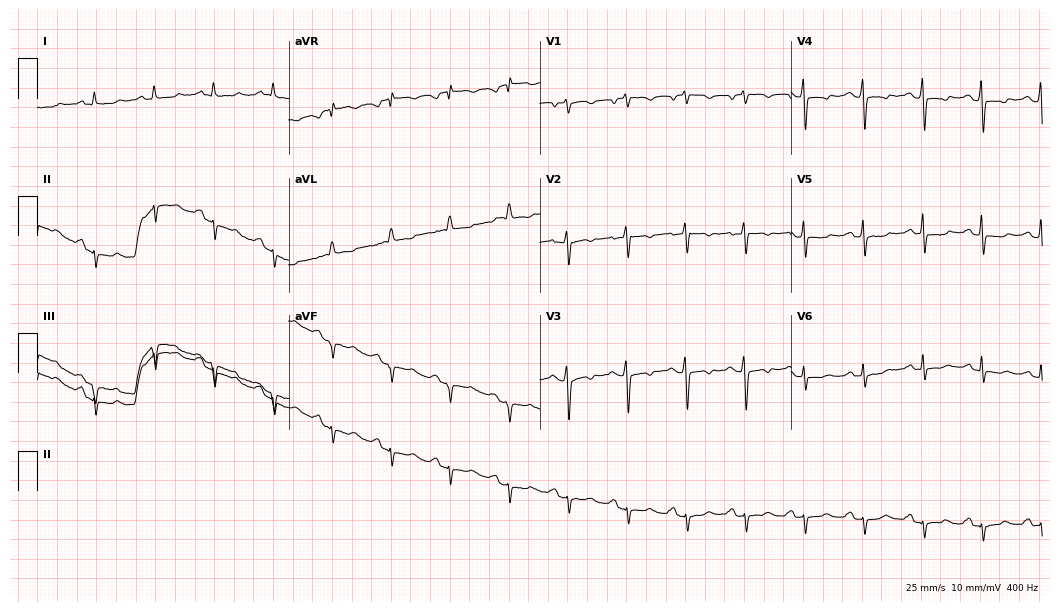
Electrocardiogram (10.2-second recording at 400 Hz), a female patient, 76 years old. Of the six screened findings (first-degree AV block, right bundle branch block, left bundle branch block, sinus bradycardia, atrial fibrillation, sinus tachycardia), none is recorded.